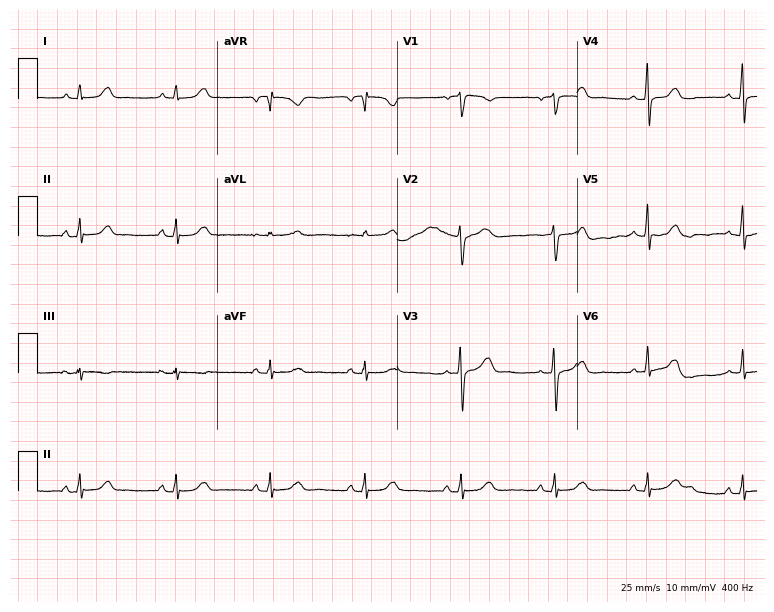
Standard 12-lead ECG recorded from a 65-year-old female. None of these six findings is recorded: first-degree AV block, right bundle branch block (RBBB), left bundle branch block (LBBB), sinus bradycardia, atrial fibrillation (AF), sinus tachycardia. Other findings, if any, are not listed.